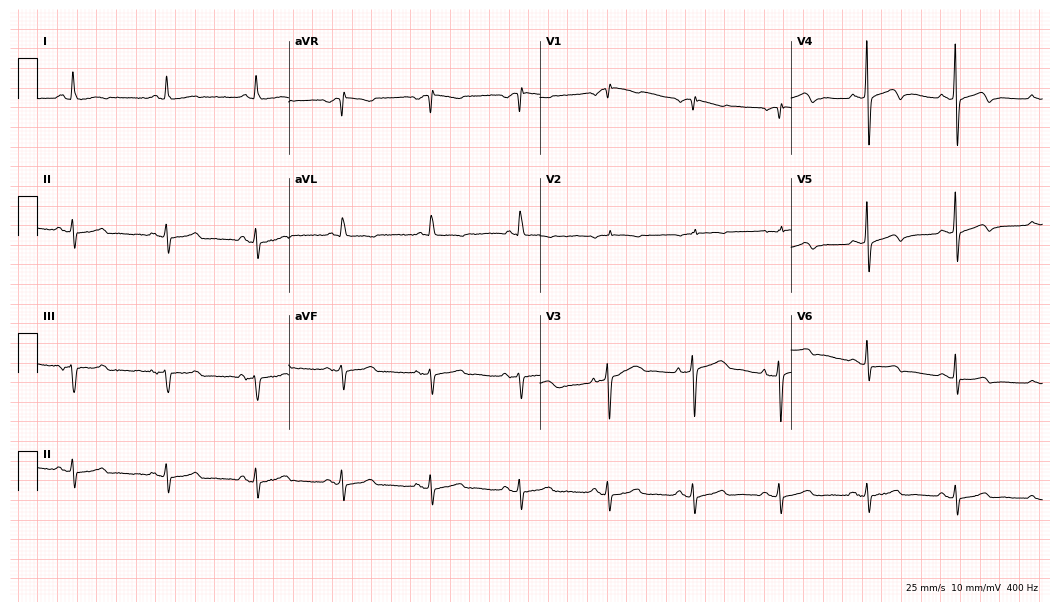
Electrocardiogram, a female, 80 years old. Of the six screened findings (first-degree AV block, right bundle branch block, left bundle branch block, sinus bradycardia, atrial fibrillation, sinus tachycardia), none is recorded. Other findings, if any, are not listed.